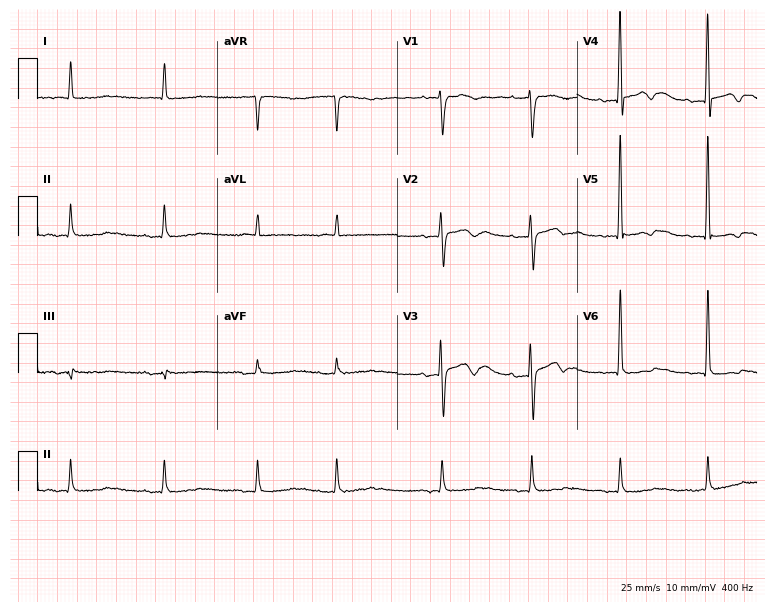
Standard 12-lead ECG recorded from a 44-year-old male patient. None of these six findings is recorded: first-degree AV block, right bundle branch block, left bundle branch block, sinus bradycardia, atrial fibrillation, sinus tachycardia. Other findings, if any, are not listed.